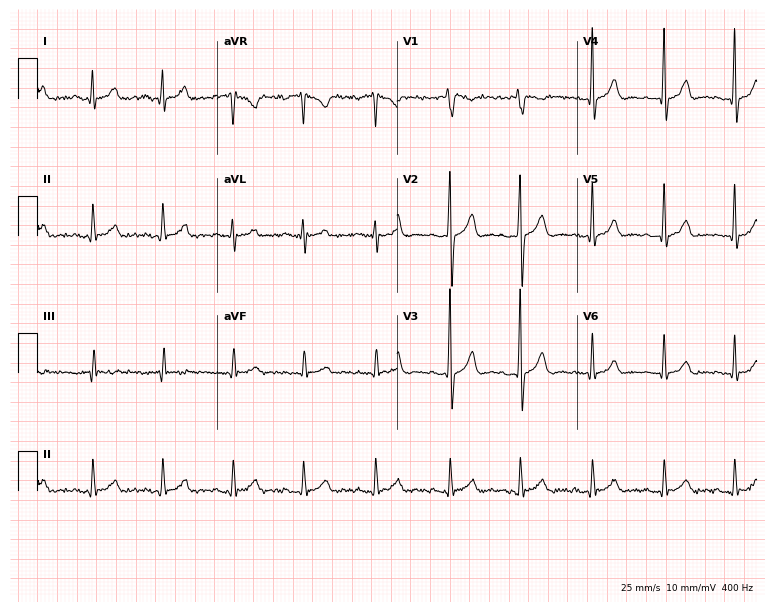
Electrocardiogram (7.3-second recording at 400 Hz), a 20-year-old man. Overall reading on record: normal ECG.